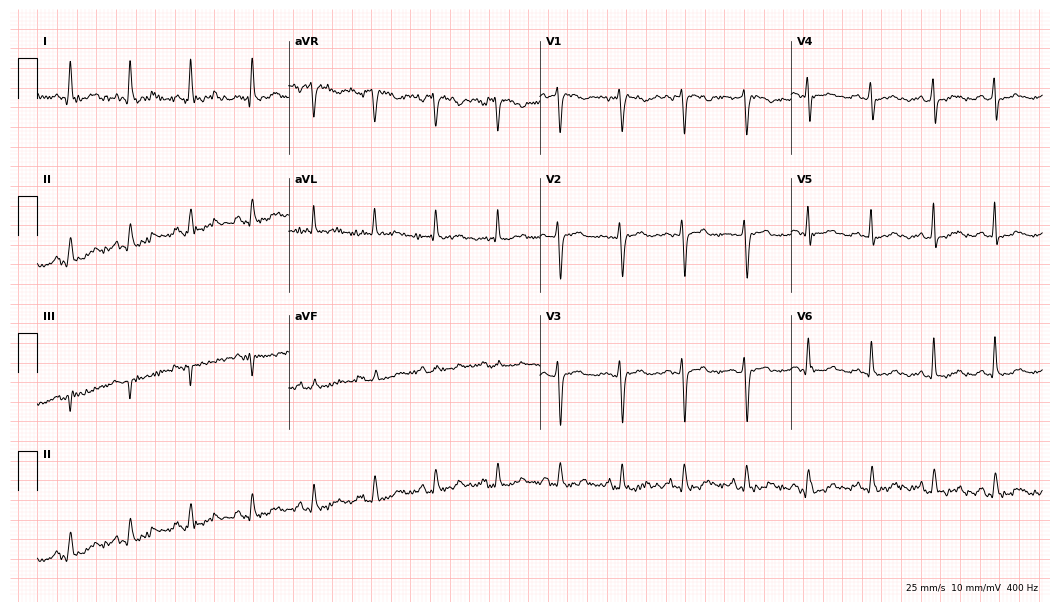
Resting 12-lead electrocardiogram. Patient: a female, 51 years old. None of these six findings is recorded: first-degree AV block, right bundle branch block (RBBB), left bundle branch block (LBBB), sinus bradycardia, atrial fibrillation (AF), sinus tachycardia.